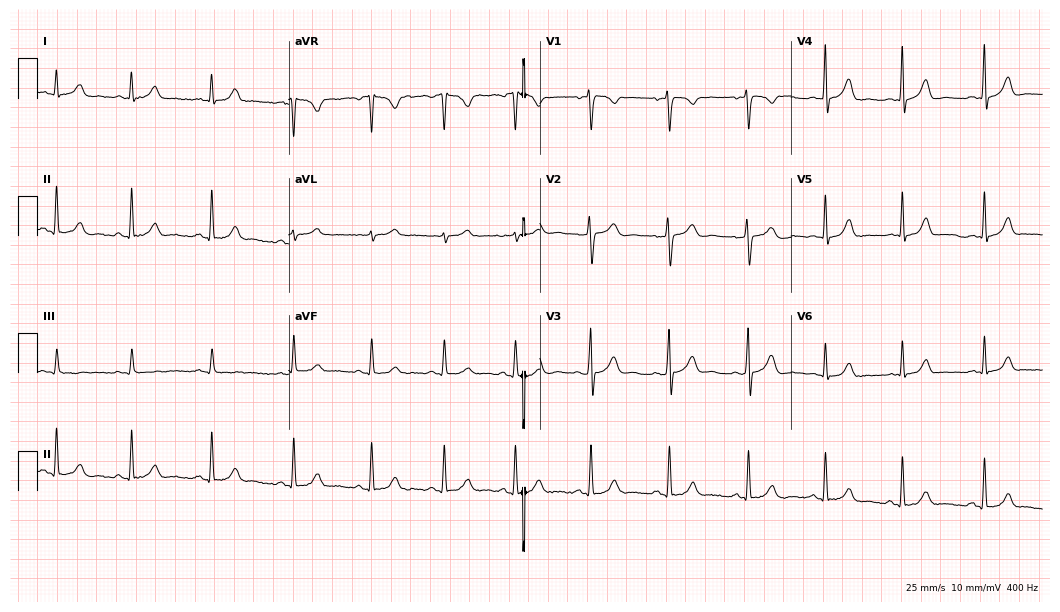
Standard 12-lead ECG recorded from a woman, 22 years old (10.2-second recording at 400 Hz). None of these six findings is recorded: first-degree AV block, right bundle branch block (RBBB), left bundle branch block (LBBB), sinus bradycardia, atrial fibrillation (AF), sinus tachycardia. Findings outside these six are not listed.